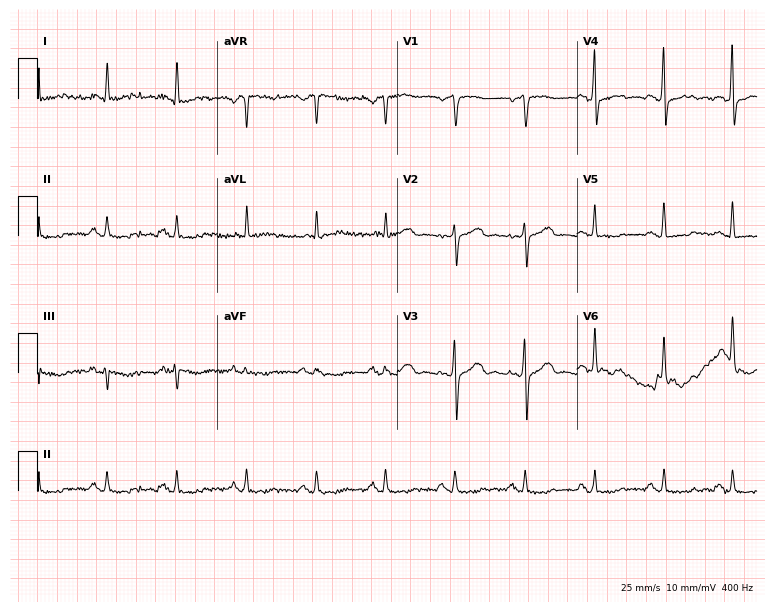
Resting 12-lead electrocardiogram. Patient: a man, 59 years old. None of these six findings is recorded: first-degree AV block, right bundle branch block, left bundle branch block, sinus bradycardia, atrial fibrillation, sinus tachycardia.